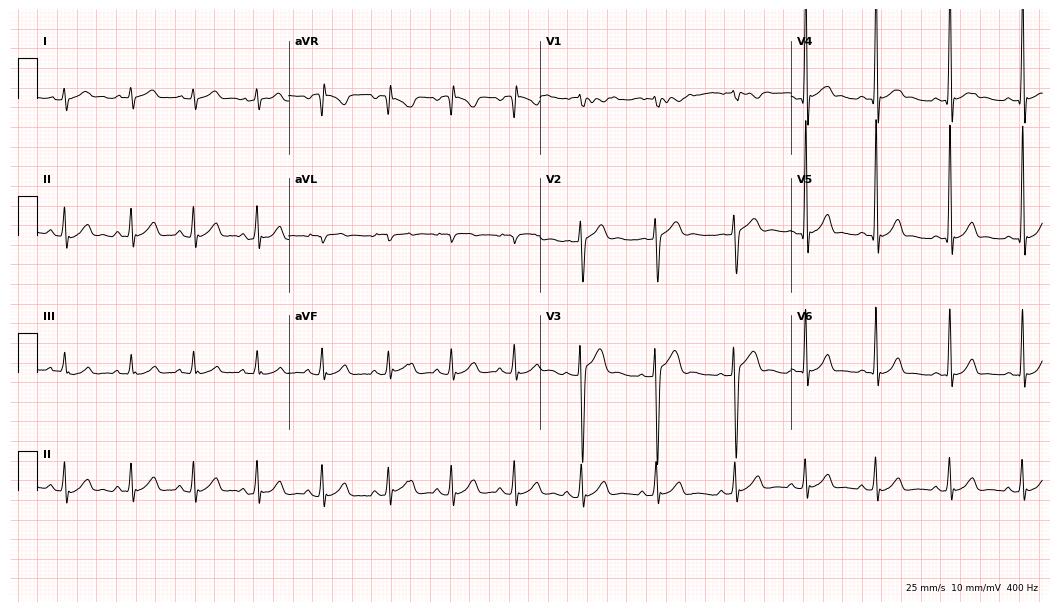
12-lead ECG from a 17-year-old male. No first-degree AV block, right bundle branch block (RBBB), left bundle branch block (LBBB), sinus bradycardia, atrial fibrillation (AF) or sinus tachycardia recorded for this tracing.